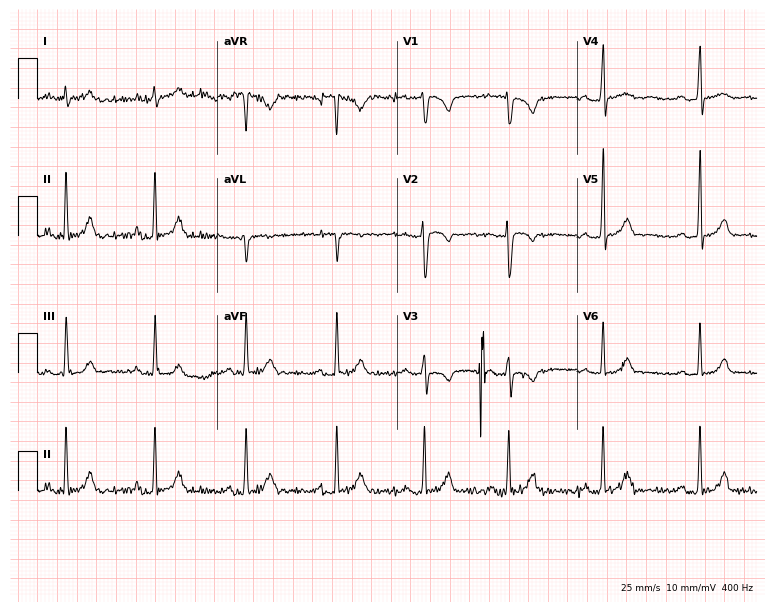
Electrocardiogram (7.3-second recording at 400 Hz), a female patient, 39 years old. Of the six screened findings (first-degree AV block, right bundle branch block, left bundle branch block, sinus bradycardia, atrial fibrillation, sinus tachycardia), none is recorded.